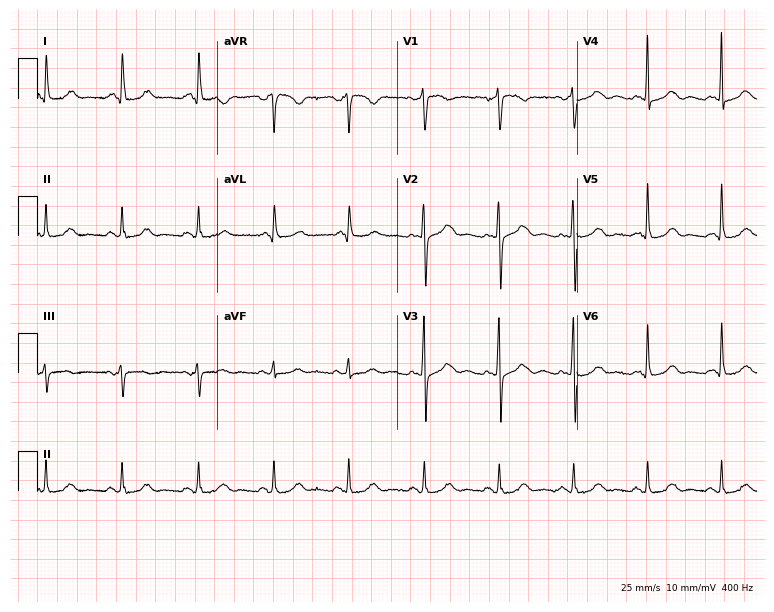
12-lead ECG (7.3-second recording at 400 Hz) from a 63-year-old woman. Labelled as a normal ECG.